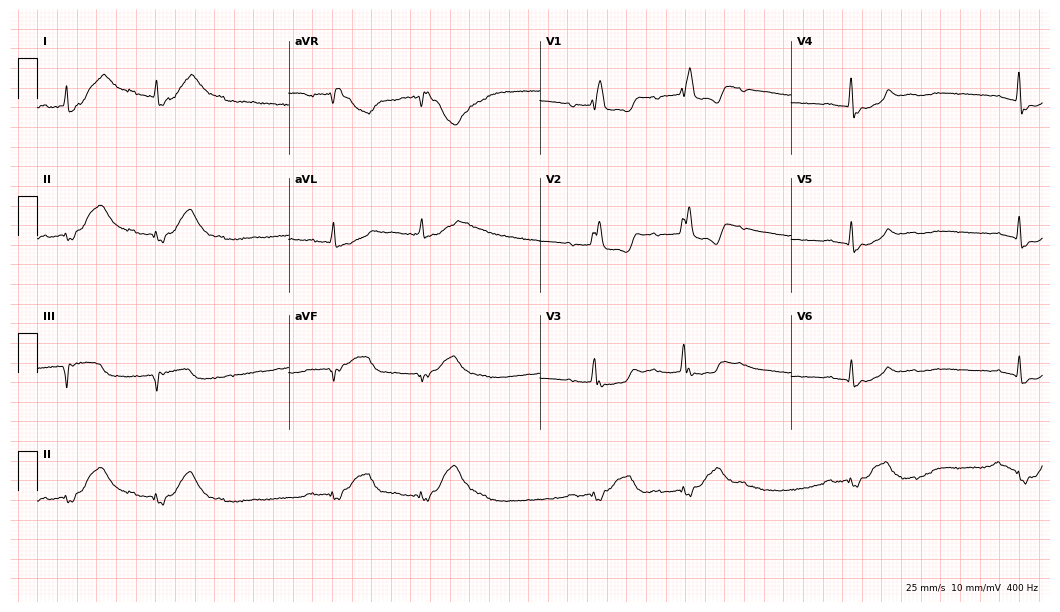
12-lead ECG from a female patient, 63 years old. Screened for six findings — first-degree AV block, right bundle branch block, left bundle branch block, sinus bradycardia, atrial fibrillation, sinus tachycardia — none is recorded. Findings outside these six are not listed.